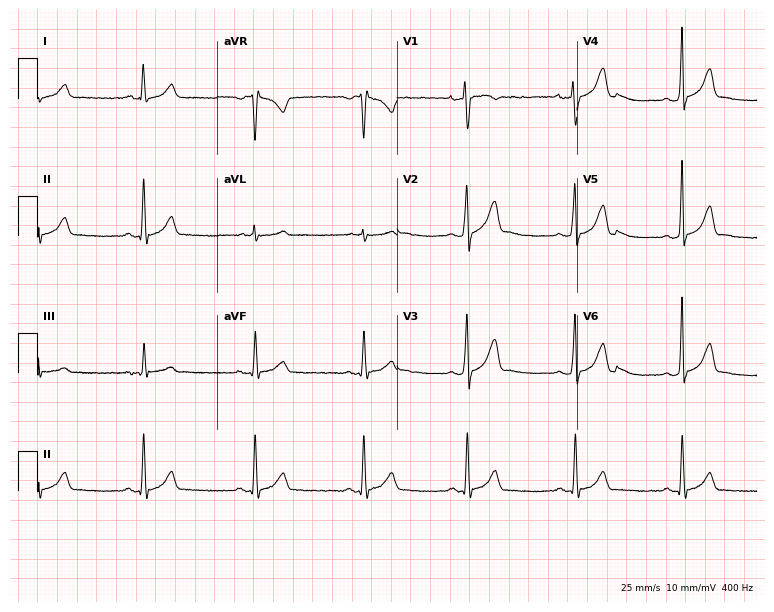
12-lead ECG (7.3-second recording at 400 Hz) from a 27-year-old male patient. Labelled as a normal ECG.